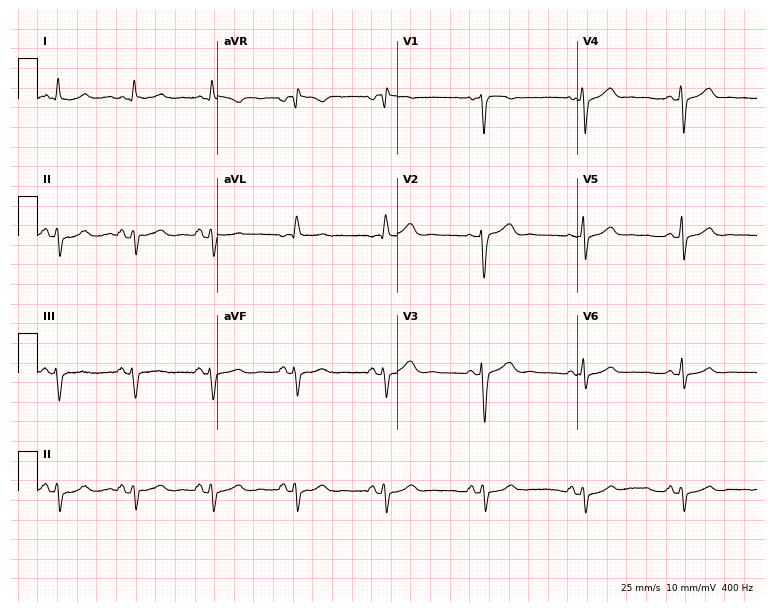
Resting 12-lead electrocardiogram (7.3-second recording at 400 Hz). Patient: a 42-year-old female. None of these six findings is recorded: first-degree AV block, right bundle branch block, left bundle branch block, sinus bradycardia, atrial fibrillation, sinus tachycardia. Only these six findings were labelled.